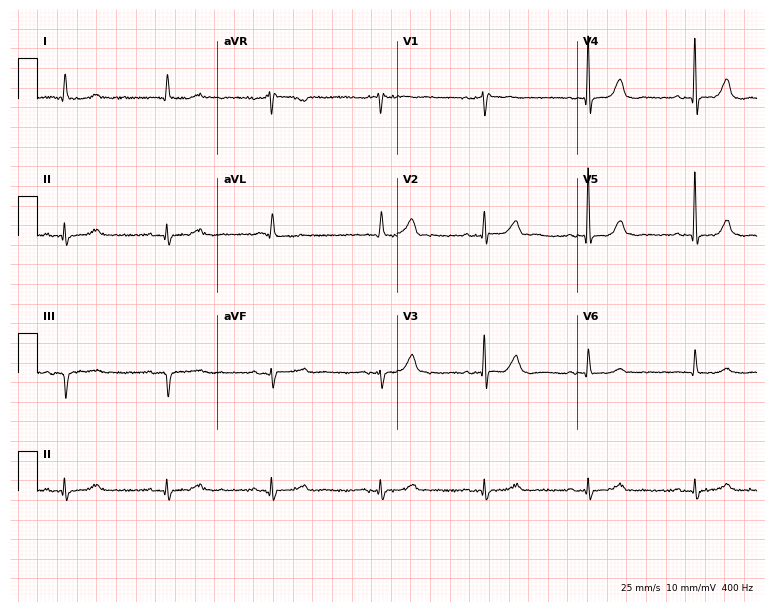
Standard 12-lead ECG recorded from a woman, 78 years old (7.3-second recording at 400 Hz). None of these six findings is recorded: first-degree AV block, right bundle branch block (RBBB), left bundle branch block (LBBB), sinus bradycardia, atrial fibrillation (AF), sinus tachycardia.